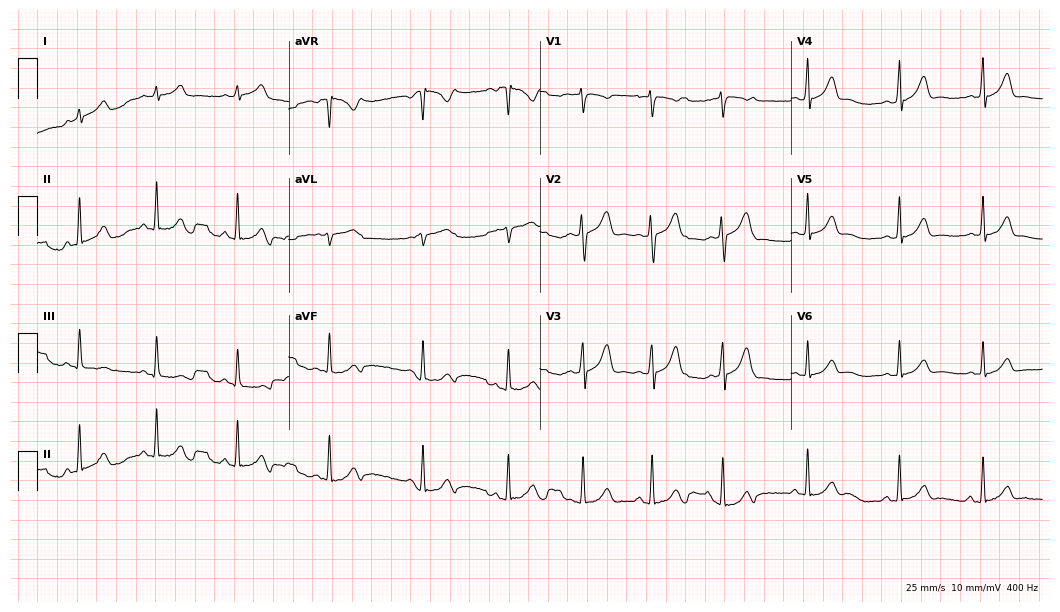
12-lead ECG from a woman, 17 years old (10.2-second recording at 400 Hz). Recorded interpretation: within normal limits.